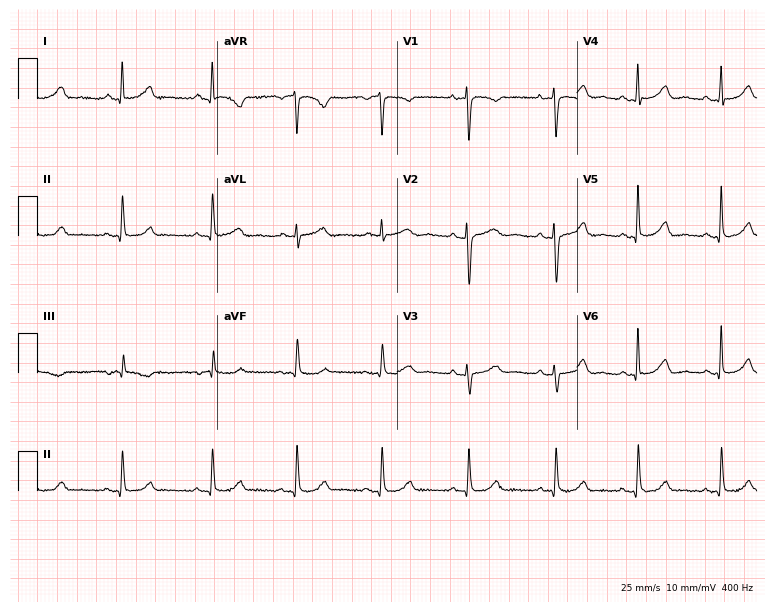
12-lead ECG (7.3-second recording at 400 Hz) from a 51-year-old woman. Labelled as a normal ECG.